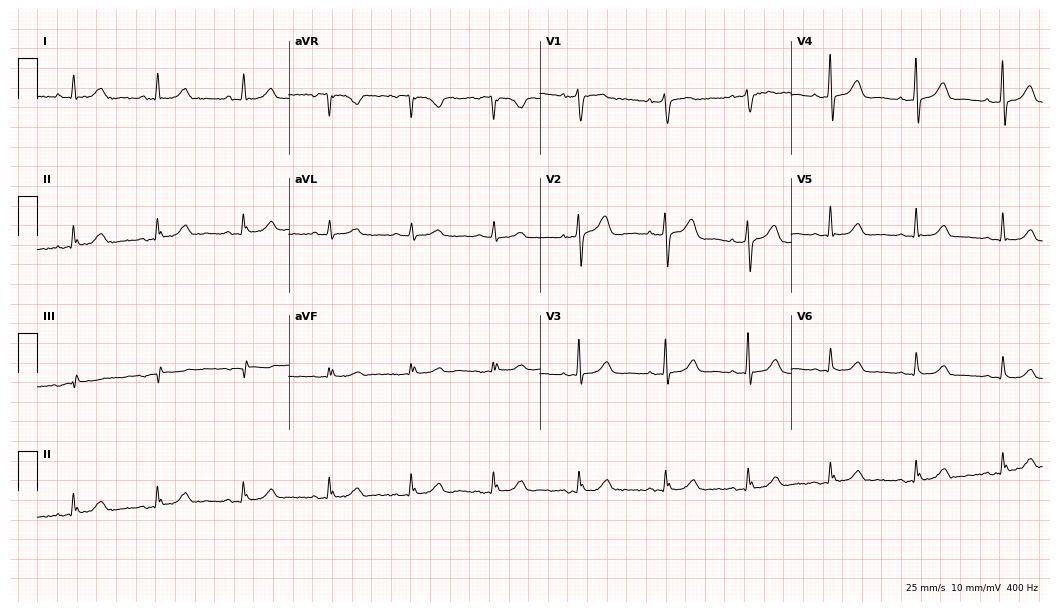
Standard 12-lead ECG recorded from a 57-year-old female patient (10.2-second recording at 400 Hz). None of these six findings is recorded: first-degree AV block, right bundle branch block (RBBB), left bundle branch block (LBBB), sinus bradycardia, atrial fibrillation (AF), sinus tachycardia.